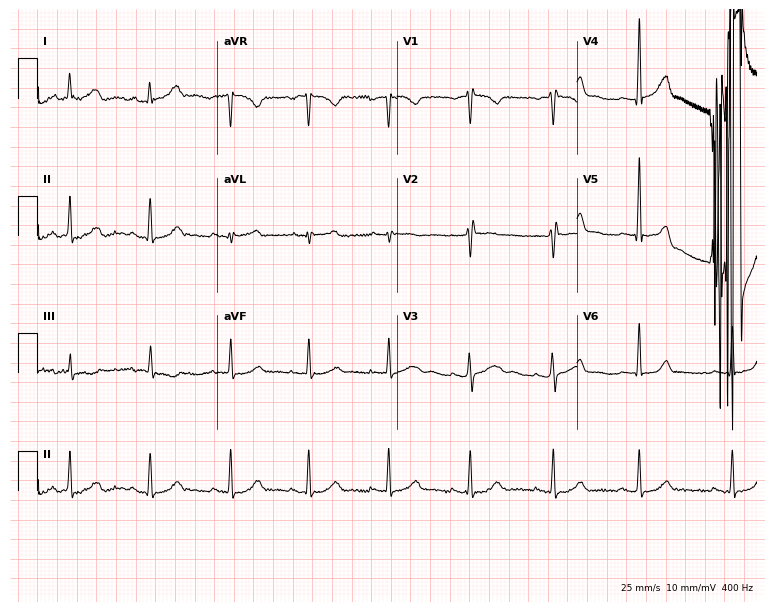
Standard 12-lead ECG recorded from a 37-year-old female (7.3-second recording at 400 Hz). Read as a normal ECG.